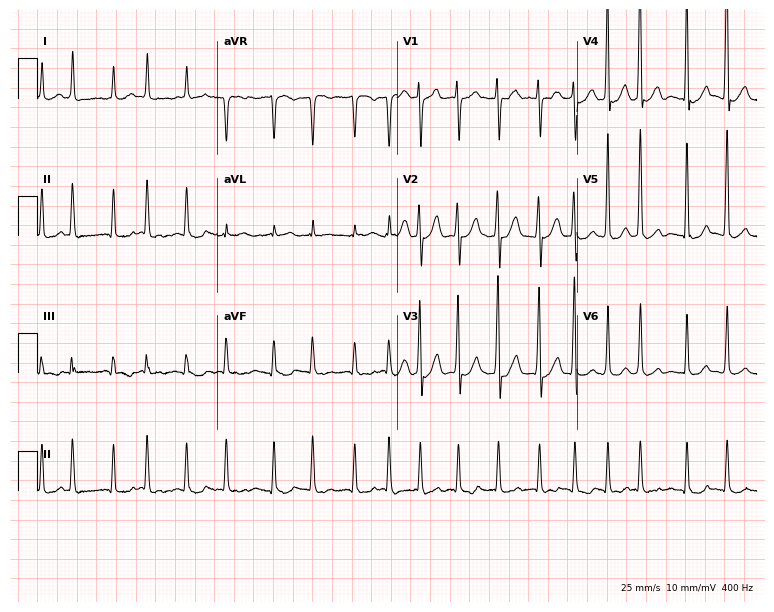
ECG — a 75-year-old woman. Findings include atrial fibrillation (AF).